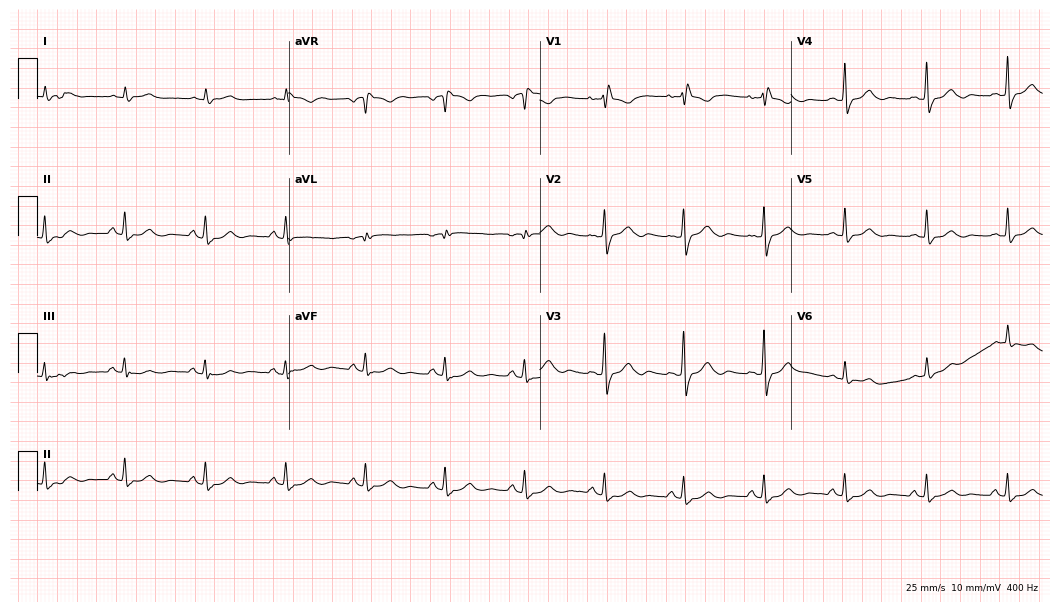
ECG — an 84-year-old woman. Findings include right bundle branch block (RBBB).